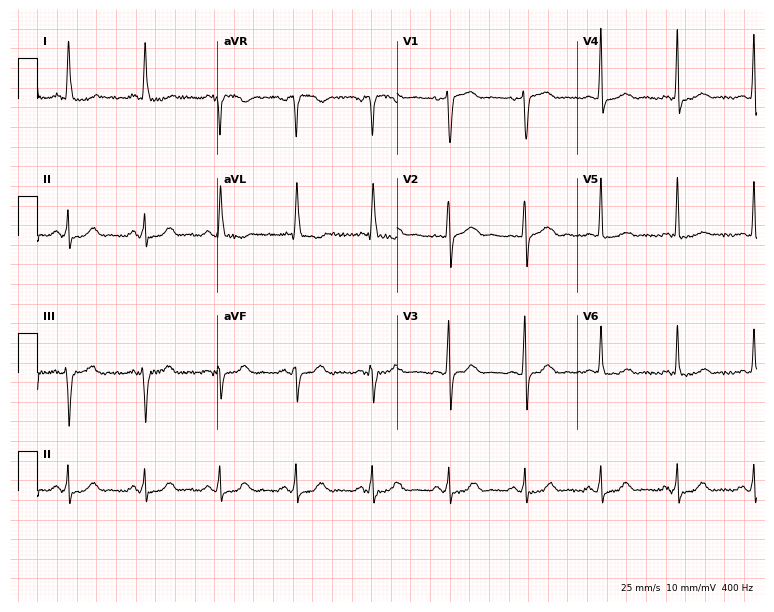
12-lead ECG (7.3-second recording at 400 Hz) from a woman, 71 years old. Screened for six findings — first-degree AV block, right bundle branch block, left bundle branch block, sinus bradycardia, atrial fibrillation, sinus tachycardia — none is recorded.